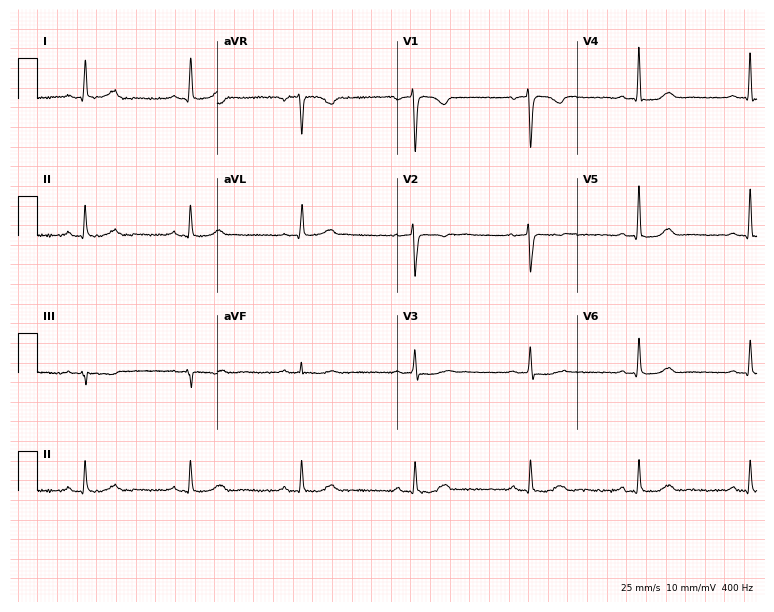
Electrocardiogram (7.3-second recording at 400 Hz), a 62-year-old female patient. Overall reading on record: normal ECG.